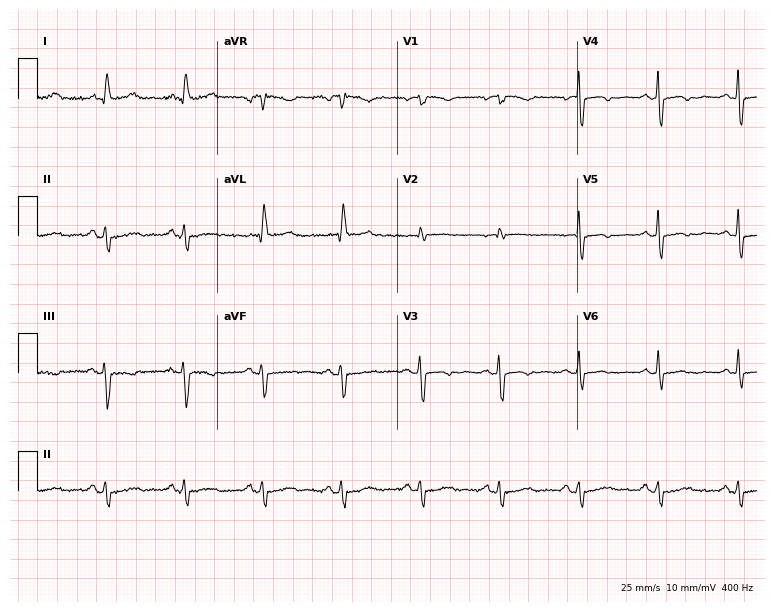
12-lead ECG from a 75-year-old female patient. Screened for six findings — first-degree AV block, right bundle branch block, left bundle branch block, sinus bradycardia, atrial fibrillation, sinus tachycardia — none is recorded. Other findings, if any, are not listed.